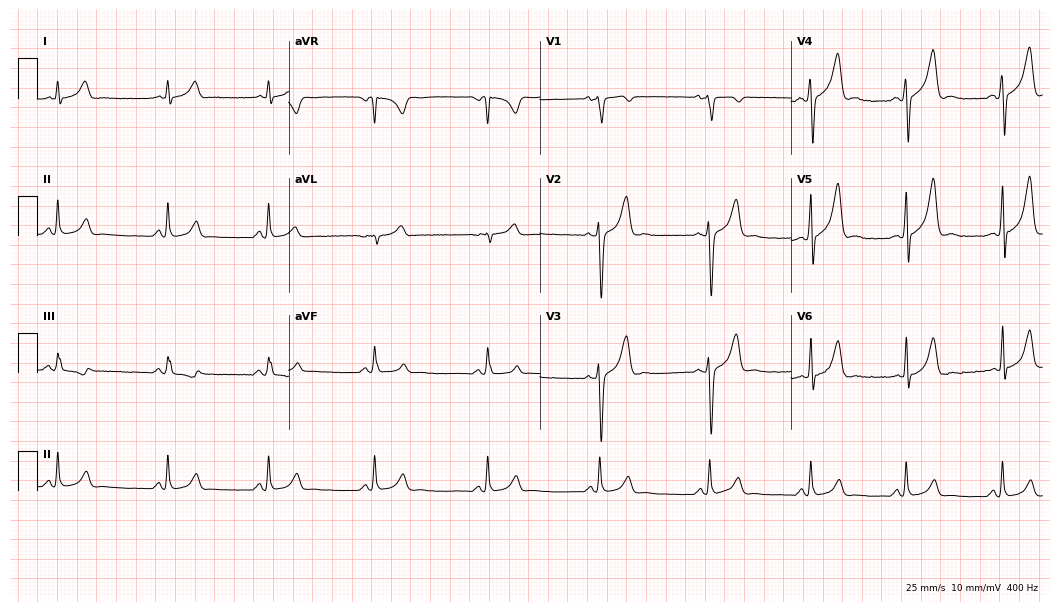
Resting 12-lead electrocardiogram (10.2-second recording at 400 Hz). Patient: a male, 35 years old. Read as a normal ECG.